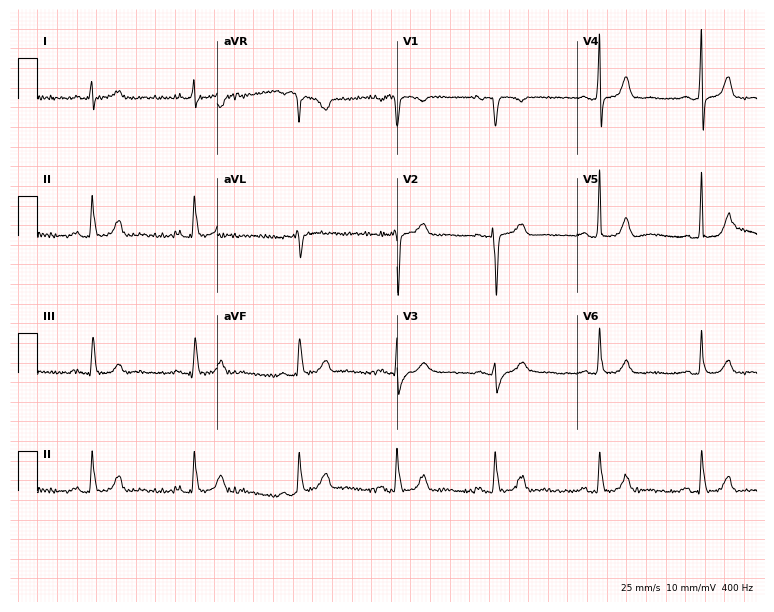
Resting 12-lead electrocardiogram (7.3-second recording at 400 Hz). Patient: a female, 43 years old. None of these six findings is recorded: first-degree AV block, right bundle branch block, left bundle branch block, sinus bradycardia, atrial fibrillation, sinus tachycardia. Only these six findings were labelled.